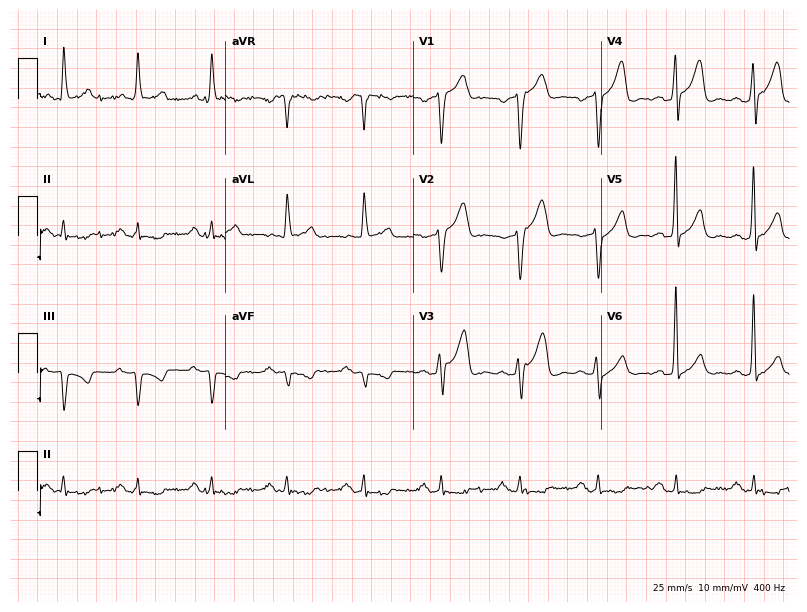
Resting 12-lead electrocardiogram (7.7-second recording at 400 Hz). Patient: a male, 57 years old. Read as a normal ECG.